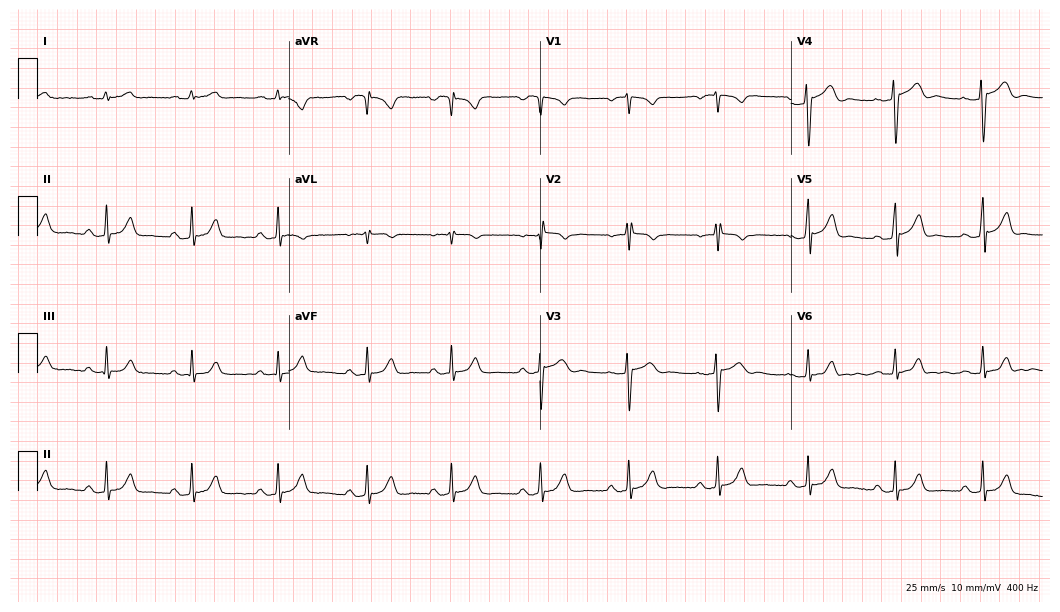
12-lead ECG (10.2-second recording at 400 Hz) from a 25-year-old male patient. Labelled as a normal ECG.